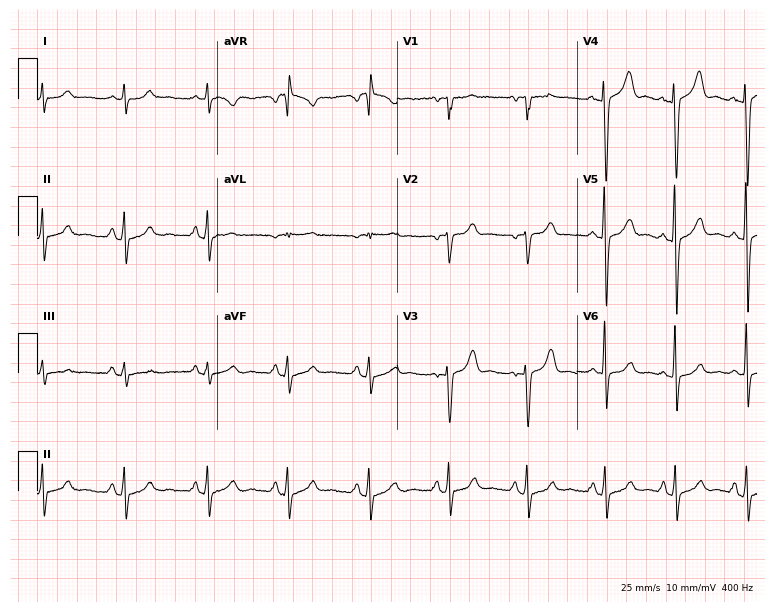
Electrocardiogram, a female patient, 24 years old. Overall reading on record: normal ECG.